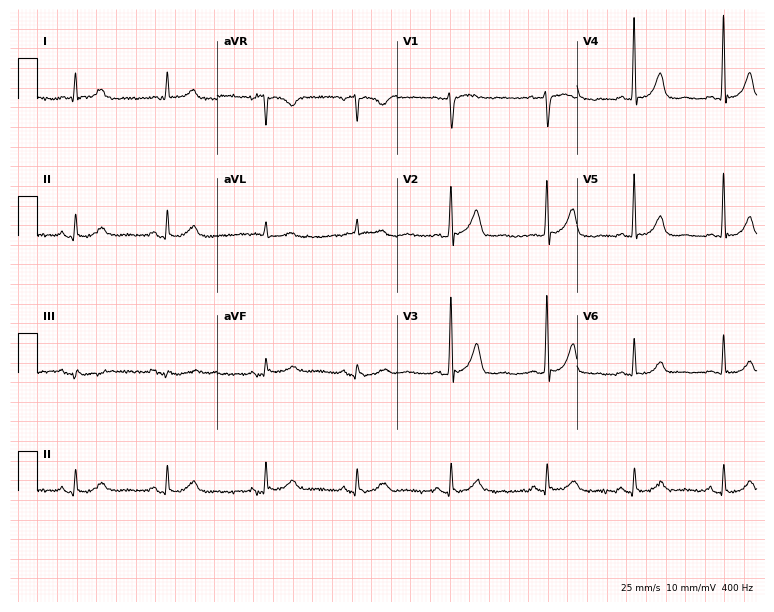
12-lead ECG from a woman, 67 years old. Recorded interpretation: within normal limits.